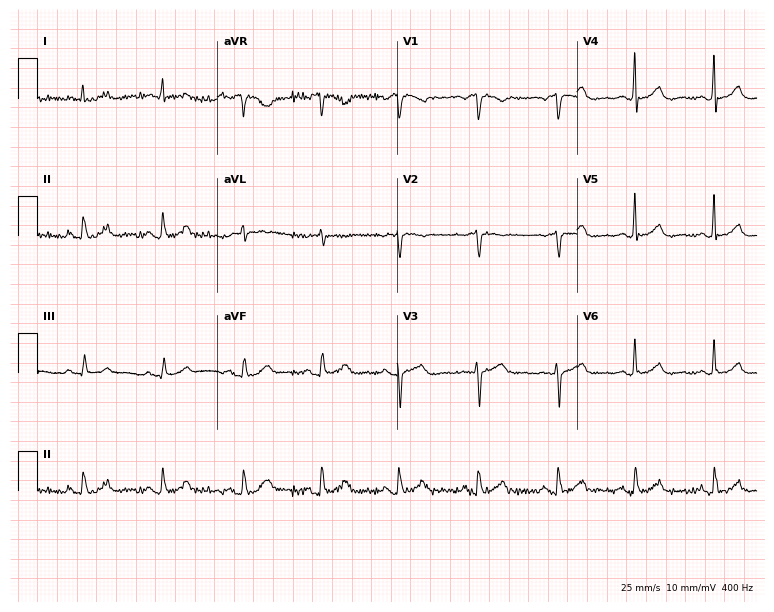
Resting 12-lead electrocardiogram (7.3-second recording at 400 Hz). Patient: a 66-year-old female. None of these six findings is recorded: first-degree AV block, right bundle branch block, left bundle branch block, sinus bradycardia, atrial fibrillation, sinus tachycardia. Other findings, if any, are not listed.